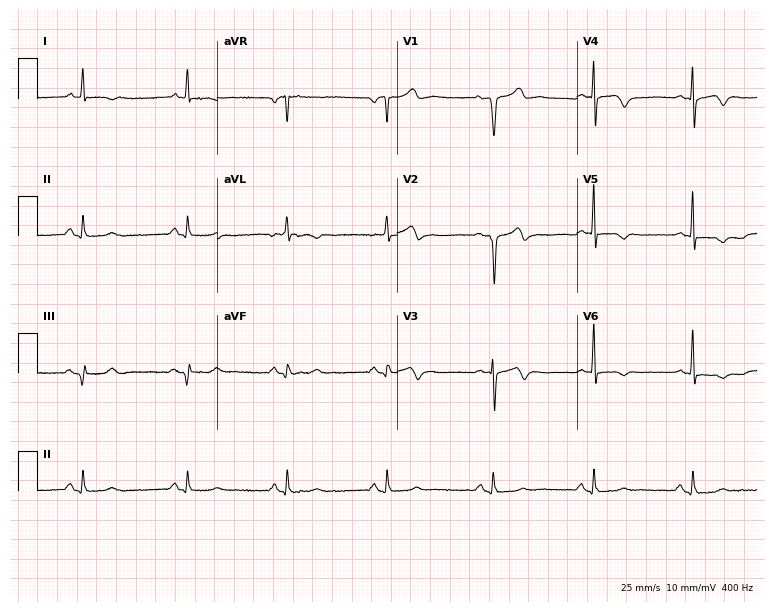
ECG — a male patient, 63 years old. Screened for six findings — first-degree AV block, right bundle branch block, left bundle branch block, sinus bradycardia, atrial fibrillation, sinus tachycardia — none is recorded.